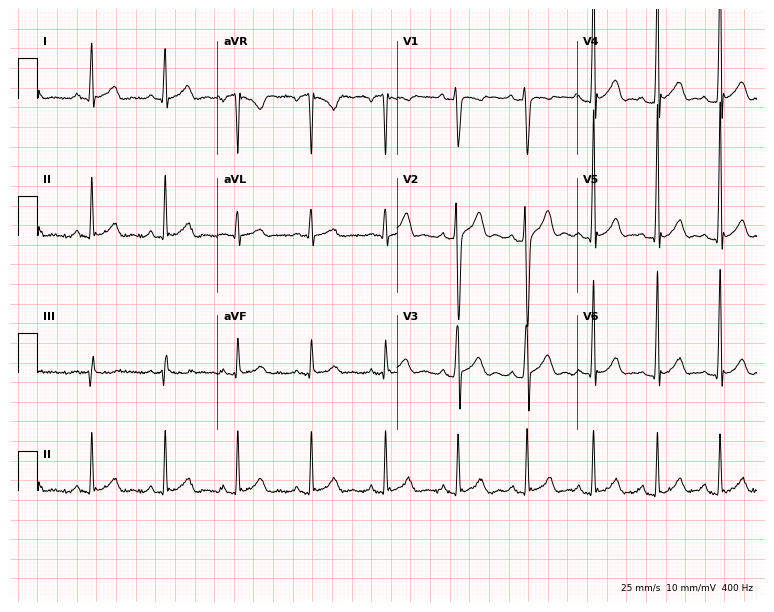
Resting 12-lead electrocardiogram. Patient: a 20-year-old male. Read as a normal ECG.